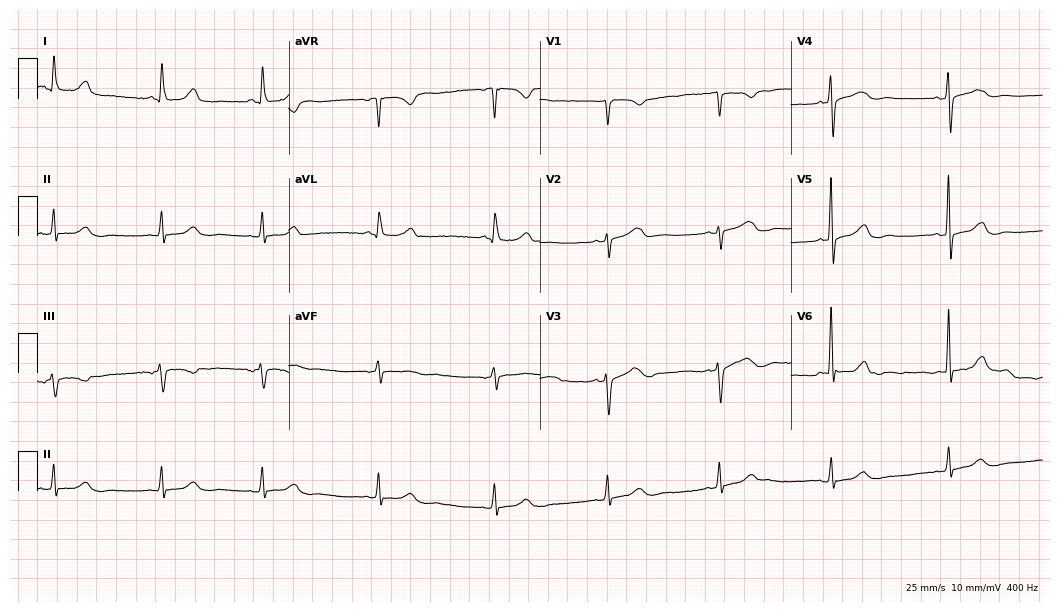
Resting 12-lead electrocardiogram (10.2-second recording at 400 Hz). Patient: a female, 63 years old. Read as a normal ECG.